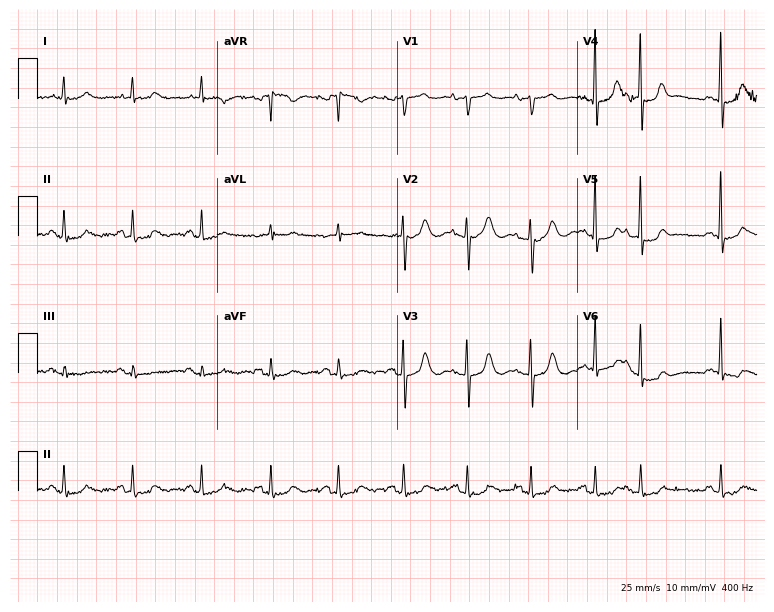
Electrocardiogram, a female, 77 years old. Of the six screened findings (first-degree AV block, right bundle branch block (RBBB), left bundle branch block (LBBB), sinus bradycardia, atrial fibrillation (AF), sinus tachycardia), none is recorded.